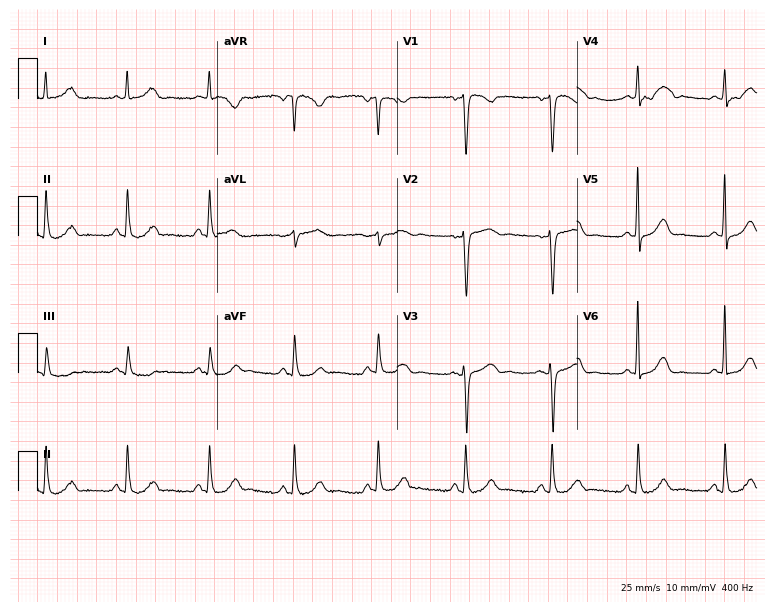
Electrocardiogram, a female patient, 69 years old. Of the six screened findings (first-degree AV block, right bundle branch block, left bundle branch block, sinus bradycardia, atrial fibrillation, sinus tachycardia), none is recorded. Findings outside these six are not listed.